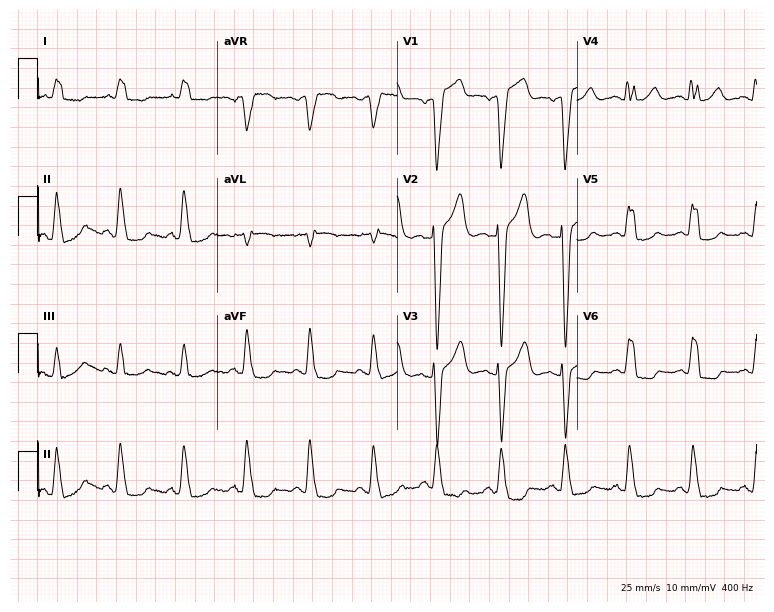
12-lead ECG from a woman, 70 years old (7.3-second recording at 400 Hz). Shows left bundle branch block.